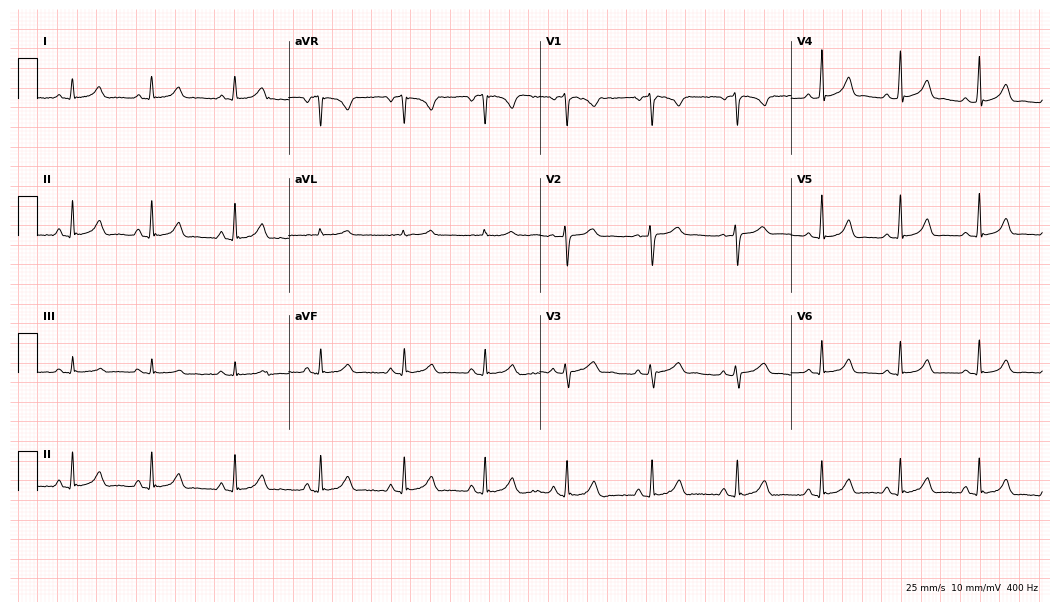
12-lead ECG (10.2-second recording at 400 Hz) from a 25-year-old female patient. Labelled as a normal ECG.